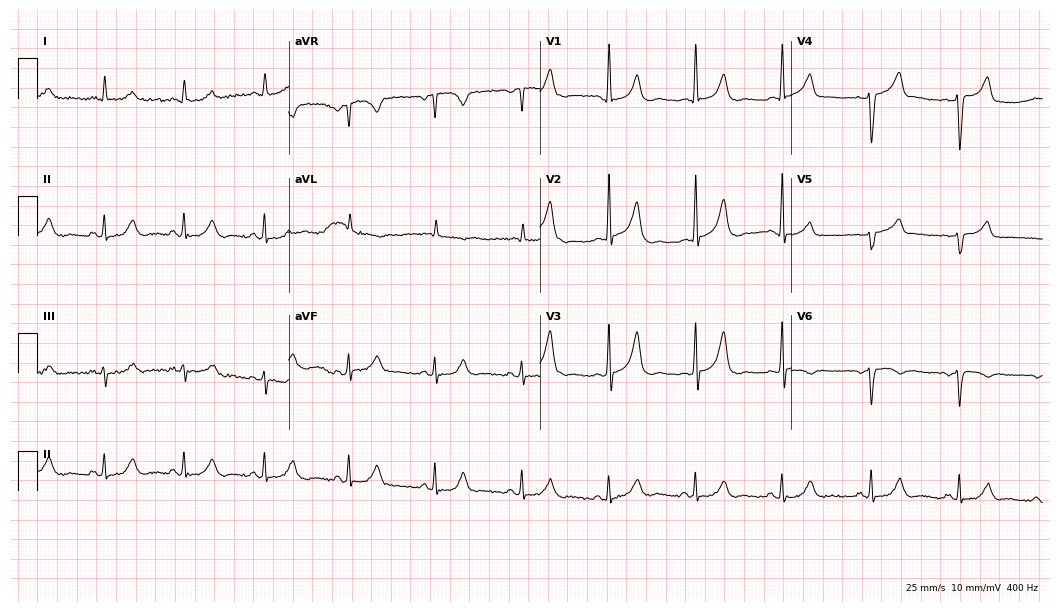
ECG — a female, 46 years old. Screened for six findings — first-degree AV block, right bundle branch block (RBBB), left bundle branch block (LBBB), sinus bradycardia, atrial fibrillation (AF), sinus tachycardia — none is recorded. Findings outside these six are not listed.